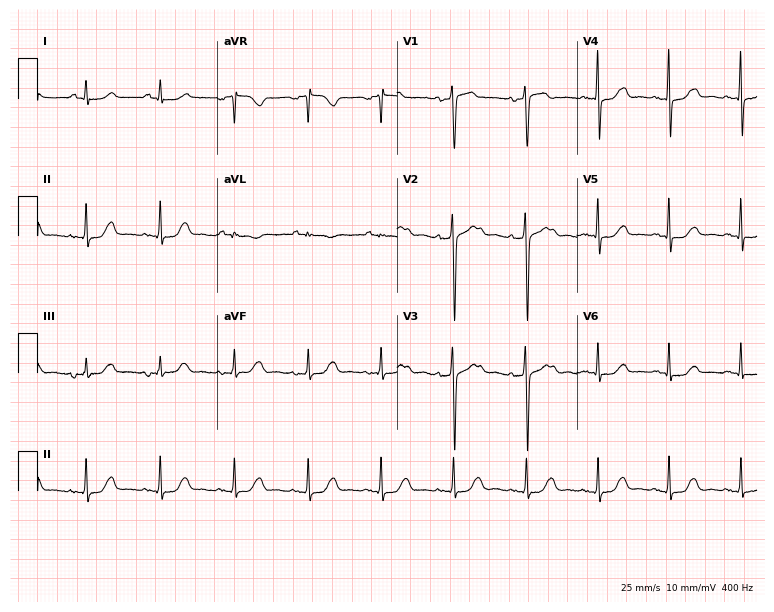
Electrocardiogram, a 55-year-old woman. Overall reading on record: normal ECG.